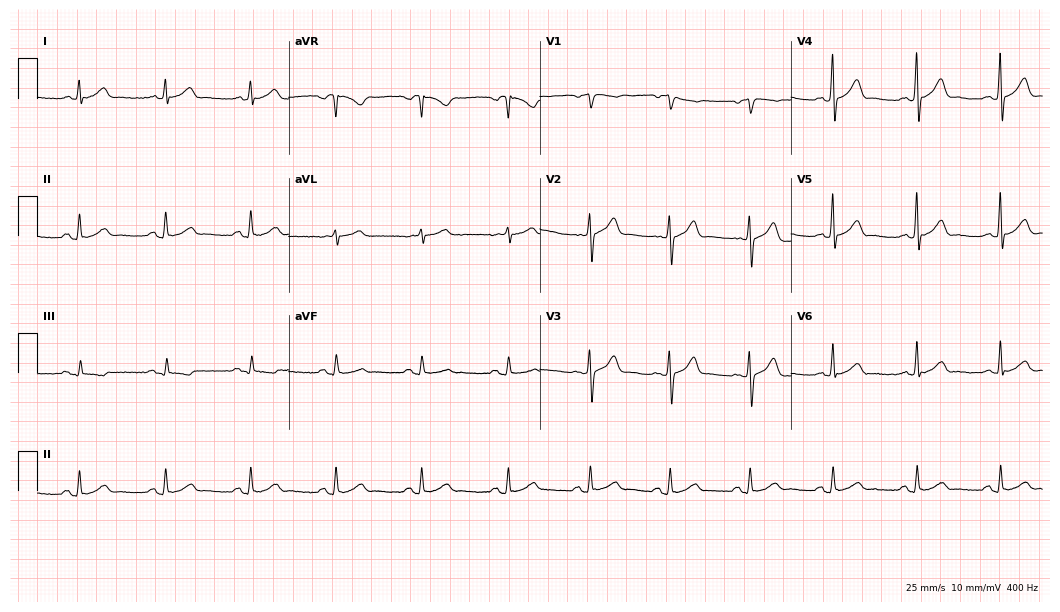
ECG (10.2-second recording at 400 Hz) — a man, 59 years old. Labelled as a normal ECG.